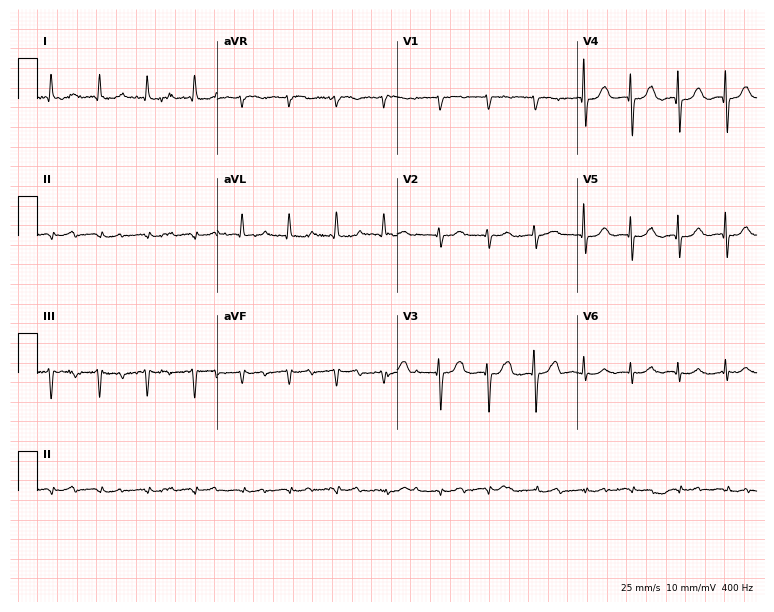
12-lead ECG (7.3-second recording at 400 Hz) from a female, 84 years old. Screened for six findings — first-degree AV block, right bundle branch block (RBBB), left bundle branch block (LBBB), sinus bradycardia, atrial fibrillation (AF), sinus tachycardia — none is recorded. Only these six findings were labelled.